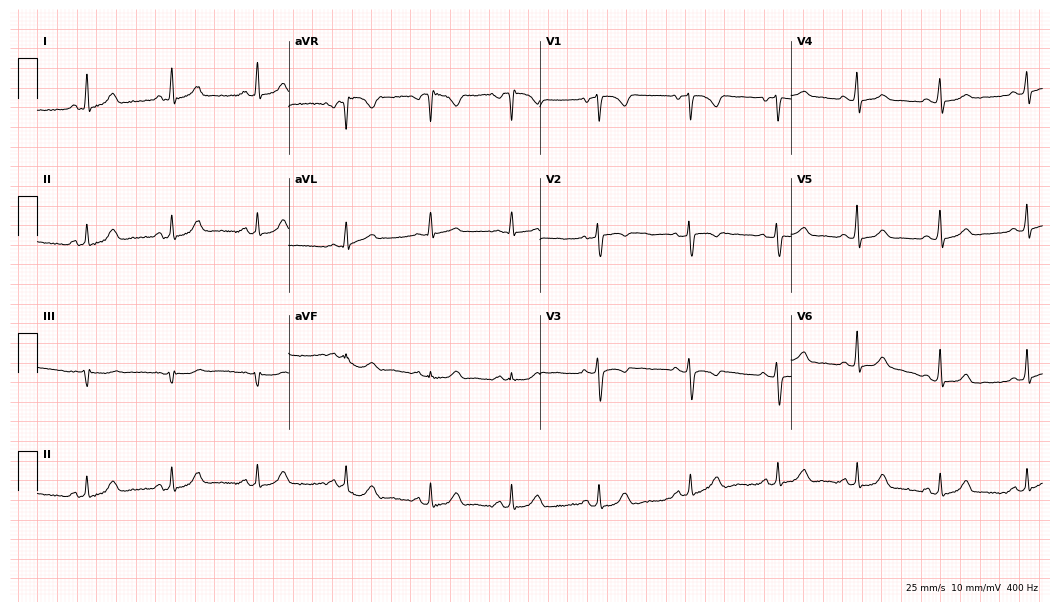
12-lead ECG from a 30-year-old female patient. Recorded interpretation: within normal limits.